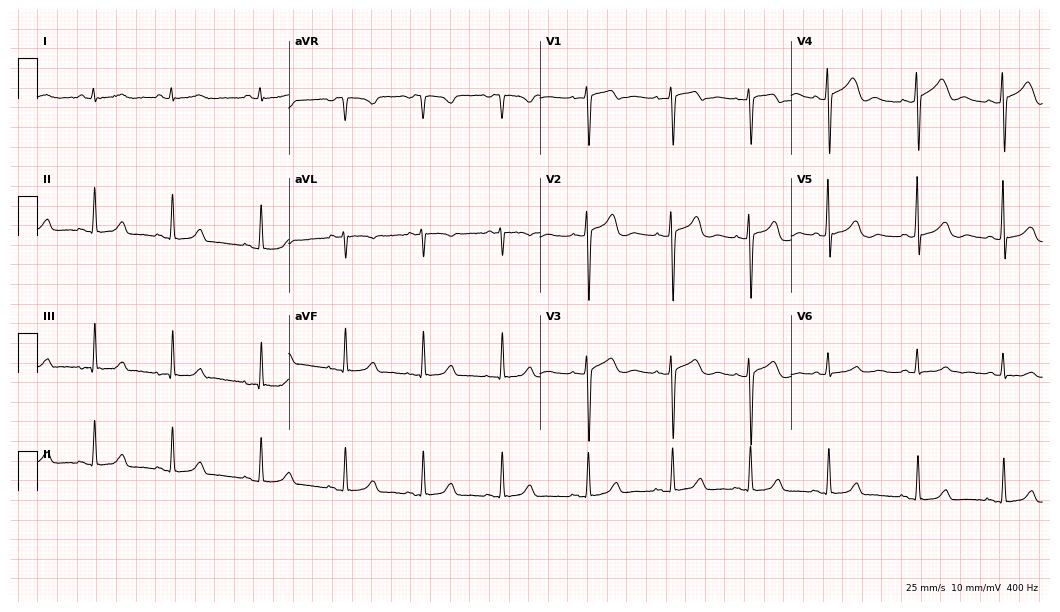
Standard 12-lead ECG recorded from a 39-year-old woman (10.2-second recording at 400 Hz). None of these six findings is recorded: first-degree AV block, right bundle branch block, left bundle branch block, sinus bradycardia, atrial fibrillation, sinus tachycardia.